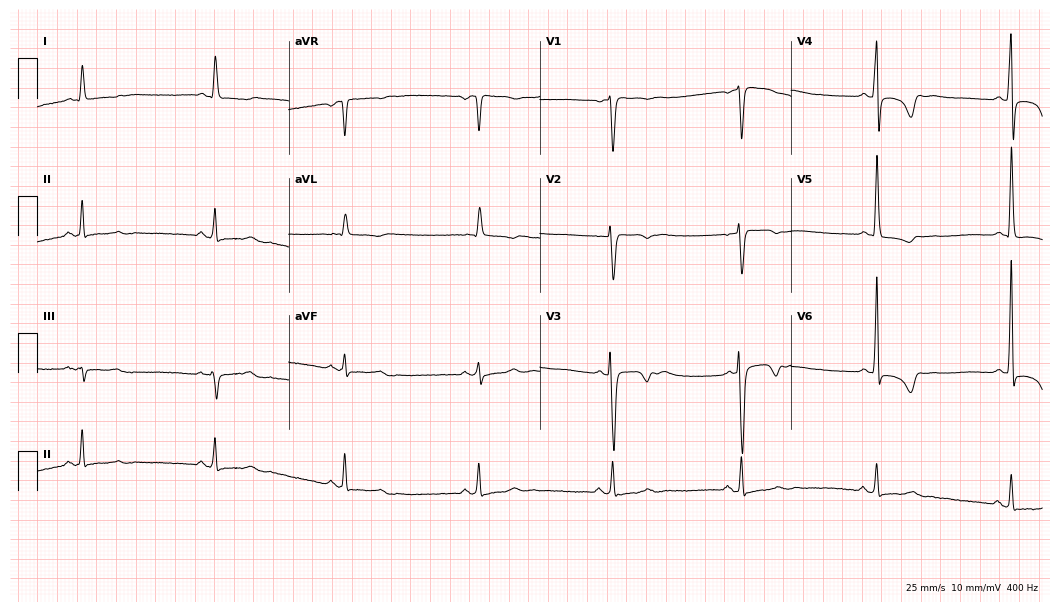
12-lead ECG from a 43-year-old female. Findings include sinus bradycardia (a sinus rate of 50 beats per minute or less).